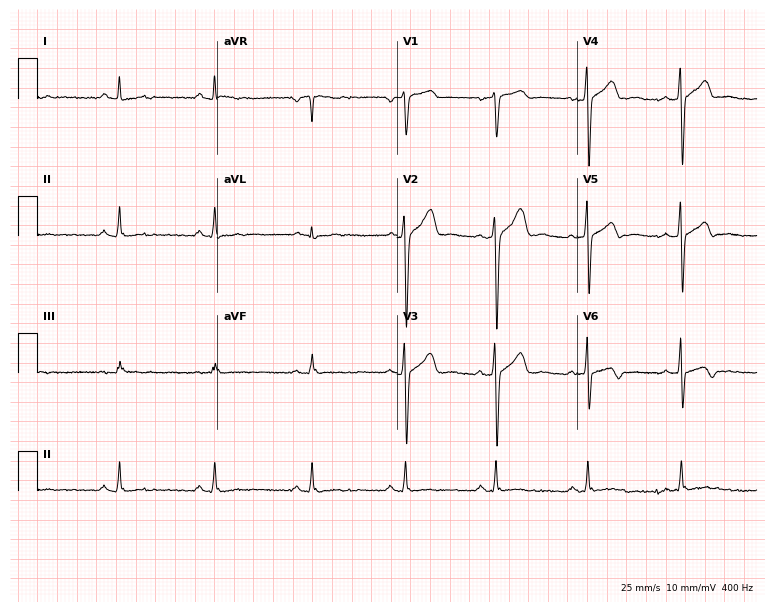
12-lead ECG from a male, 33 years old. Recorded interpretation: within normal limits.